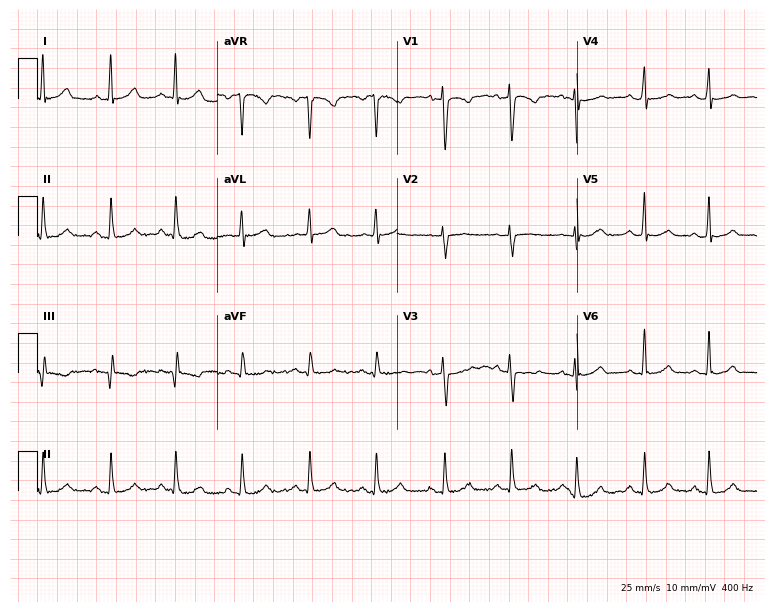
Resting 12-lead electrocardiogram. Patient: a woman, 36 years old. None of these six findings is recorded: first-degree AV block, right bundle branch block, left bundle branch block, sinus bradycardia, atrial fibrillation, sinus tachycardia. Only these six findings were labelled.